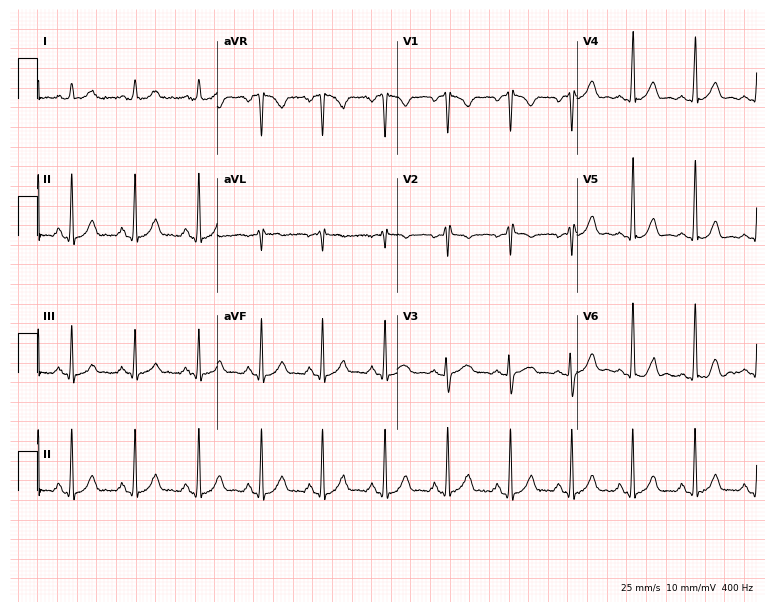
Electrocardiogram, a woman, 27 years old. Of the six screened findings (first-degree AV block, right bundle branch block, left bundle branch block, sinus bradycardia, atrial fibrillation, sinus tachycardia), none is recorded. Other findings, if any, are not listed.